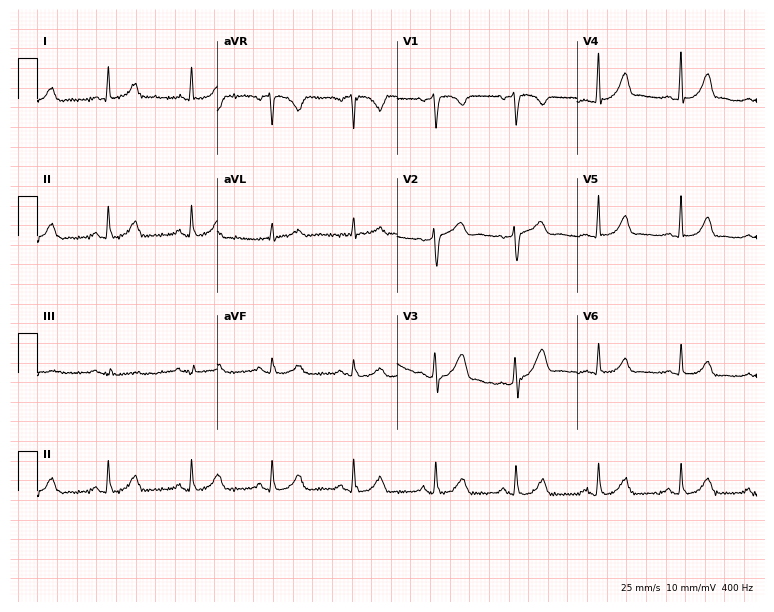
Electrocardiogram, a female, 38 years old. Overall reading on record: normal ECG.